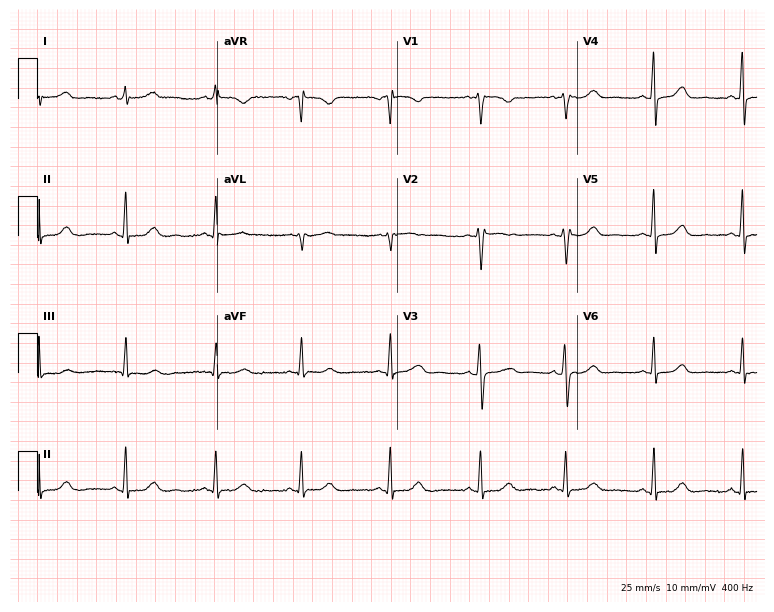
Standard 12-lead ECG recorded from a 48-year-old female patient. Read as a normal ECG.